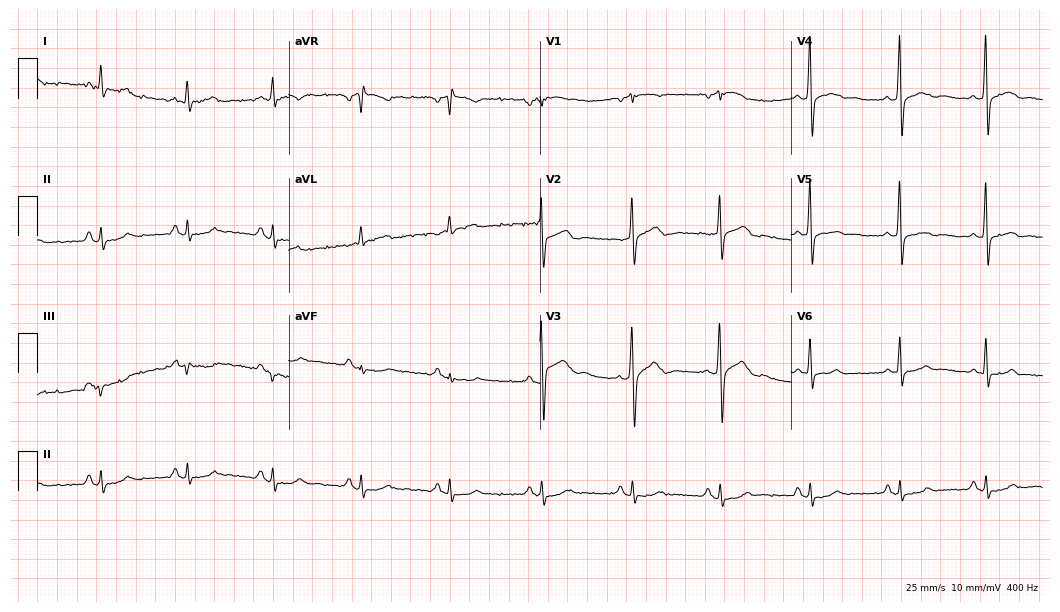
12-lead ECG from a male patient, 50 years old (10.2-second recording at 400 Hz). No first-degree AV block, right bundle branch block, left bundle branch block, sinus bradycardia, atrial fibrillation or sinus tachycardia recorded for this tracing. Other findings, if any, are not listed.